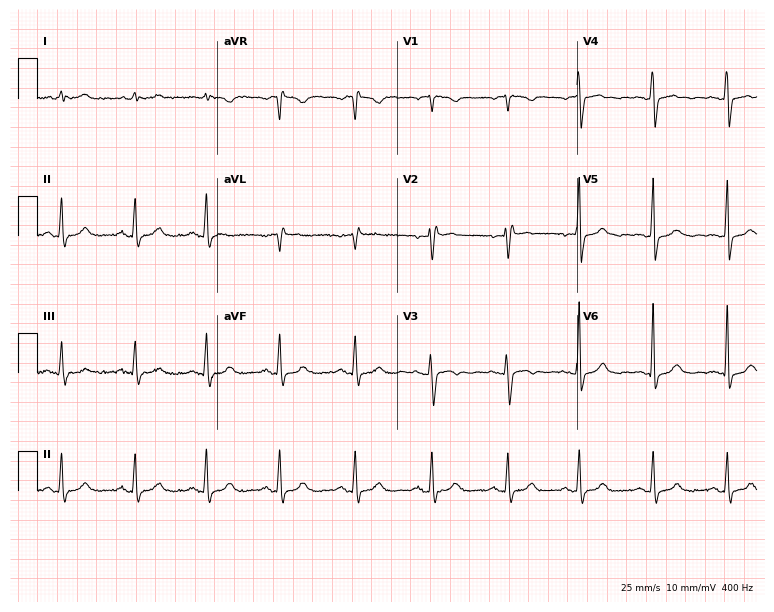
Standard 12-lead ECG recorded from a 53-year-old female. None of these six findings is recorded: first-degree AV block, right bundle branch block, left bundle branch block, sinus bradycardia, atrial fibrillation, sinus tachycardia.